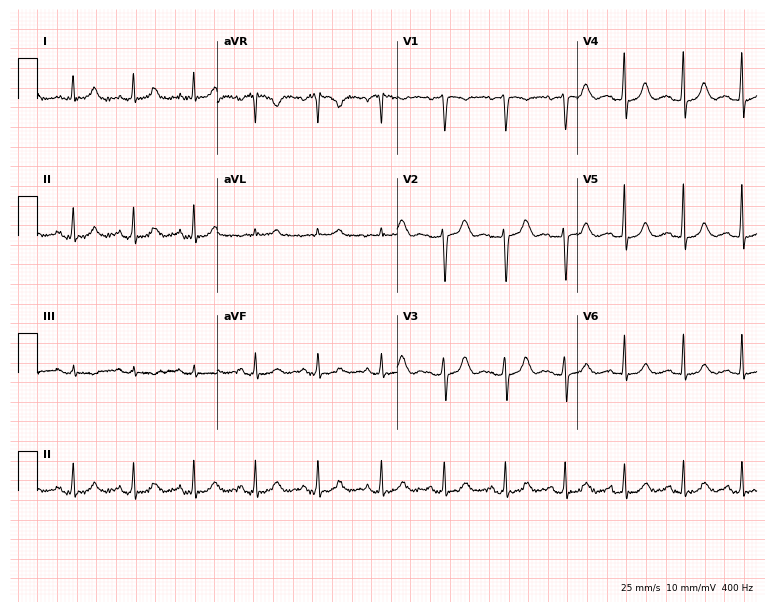
Electrocardiogram (7.3-second recording at 400 Hz), a female patient, 47 years old. Of the six screened findings (first-degree AV block, right bundle branch block, left bundle branch block, sinus bradycardia, atrial fibrillation, sinus tachycardia), none is recorded. Only these six findings were labelled.